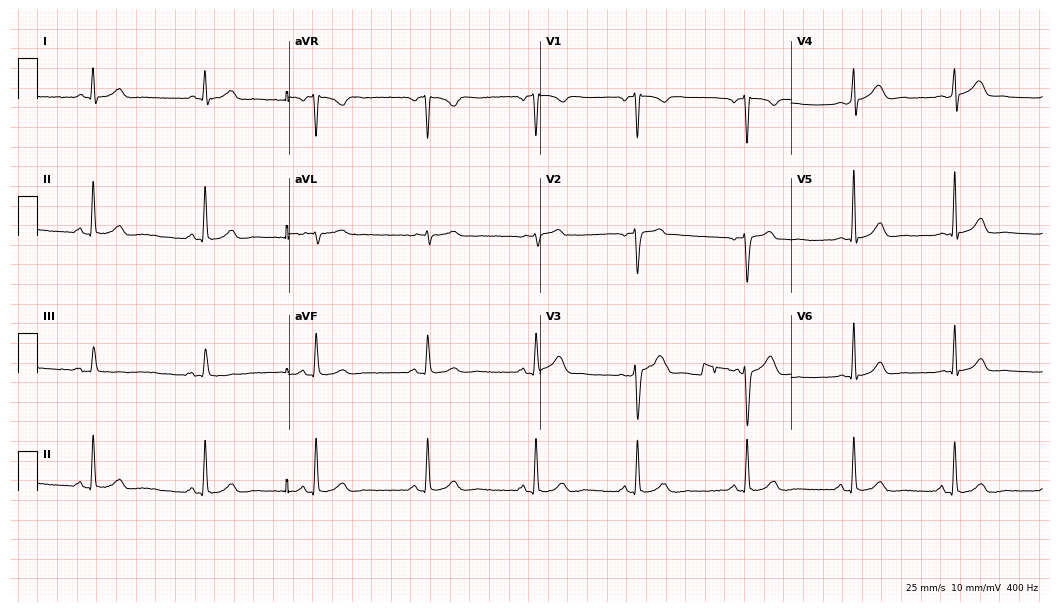
Resting 12-lead electrocardiogram (10.2-second recording at 400 Hz). Patient: a man, 57 years old. Read as a normal ECG.